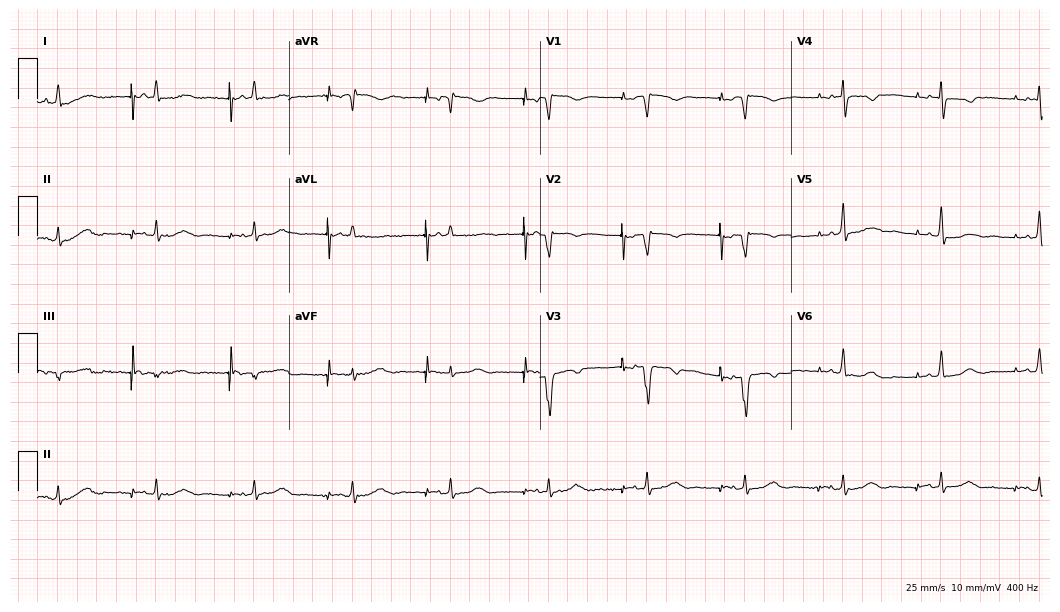
12-lead ECG from an 83-year-old male patient. No first-degree AV block, right bundle branch block, left bundle branch block, sinus bradycardia, atrial fibrillation or sinus tachycardia recorded for this tracing.